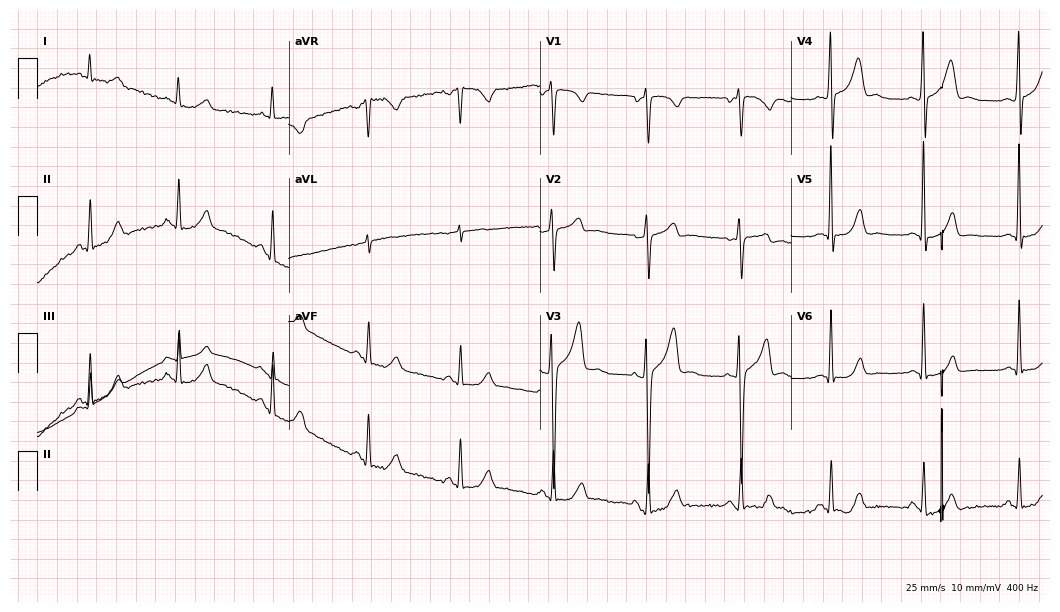
12-lead ECG from a 36-year-old male patient (10.2-second recording at 400 Hz). No first-degree AV block, right bundle branch block, left bundle branch block, sinus bradycardia, atrial fibrillation or sinus tachycardia recorded for this tracing.